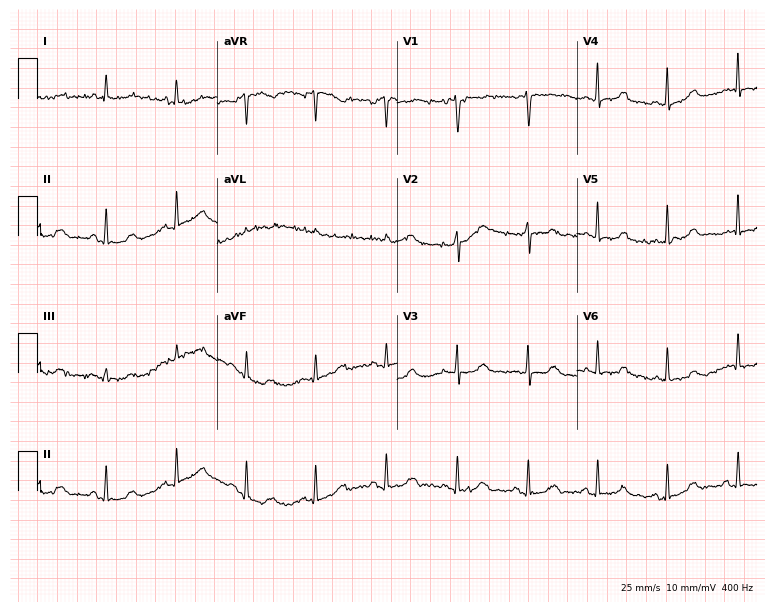
Resting 12-lead electrocardiogram (7.3-second recording at 400 Hz). Patient: a 49-year-old female. None of these six findings is recorded: first-degree AV block, right bundle branch block (RBBB), left bundle branch block (LBBB), sinus bradycardia, atrial fibrillation (AF), sinus tachycardia.